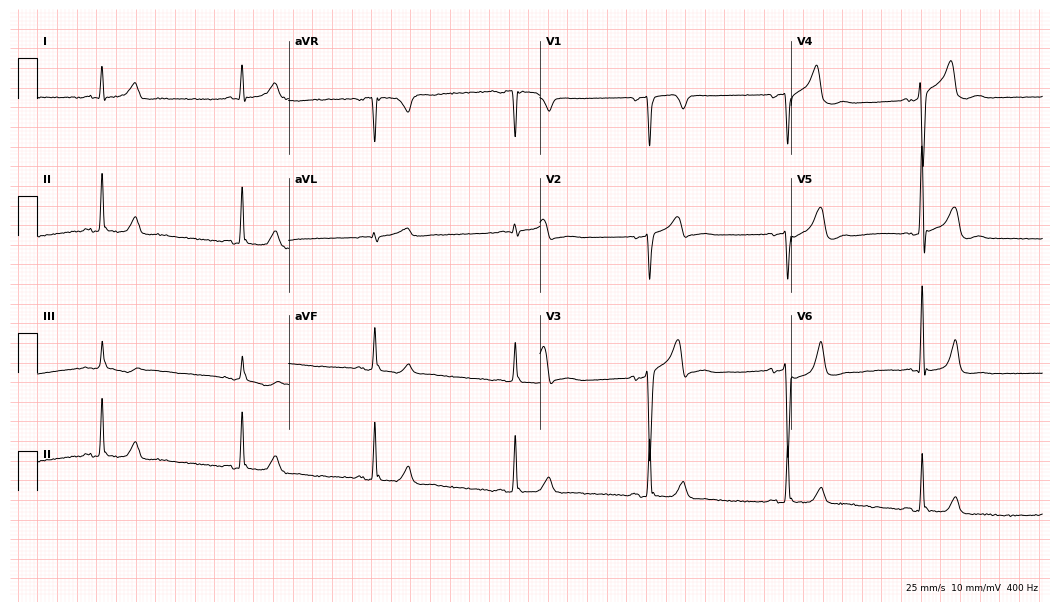
12-lead ECG (10.2-second recording at 400 Hz) from a male patient, 45 years old. Screened for six findings — first-degree AV block, right bundle branch block (RBBB), left bundle branch block (LBBB), sinus bradycardia, atrial fibrillation (AF), sinus tachycardia — none is recorded.